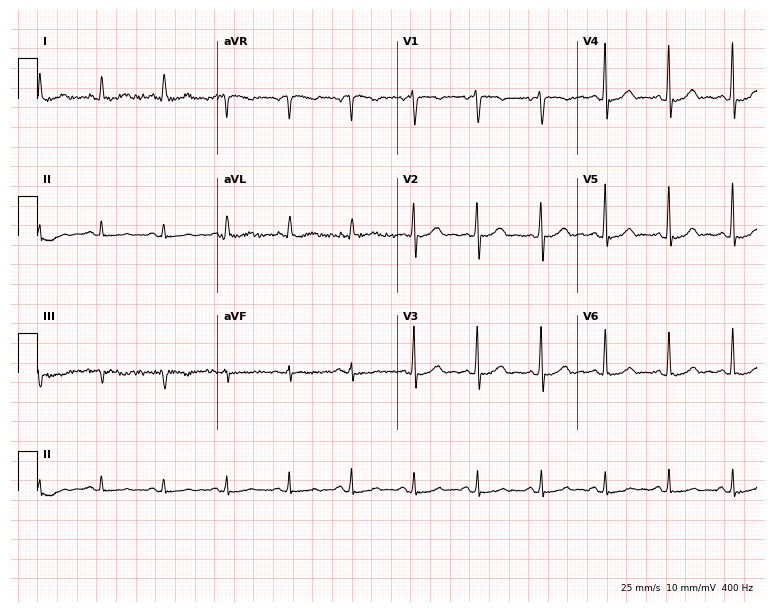
Electrocardiogram, a woman, 67 years old. Of the six screened findings (first-degree AV block, right bundle branch block, left bundle branch block, sinus bradycardia, atrial fibrillation, sinus tachycardia), none is recorded.